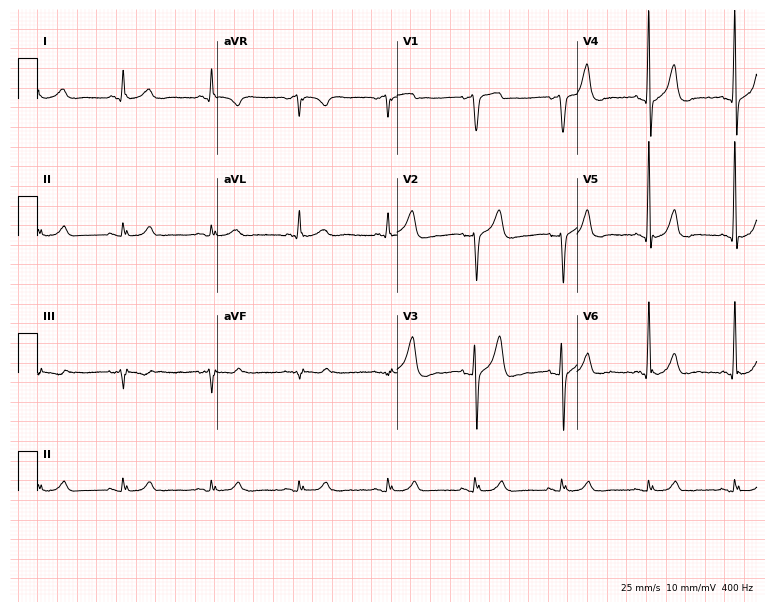
Electrocardiogram, a man, 61 years old. Of the six screened findings (first-degree AV block, right bundle branch block, left bundle branch block, sinus bradycardia, atrial fibrillation, sinus tachycardia), none is recorded. Other findings, if any, are not listed.